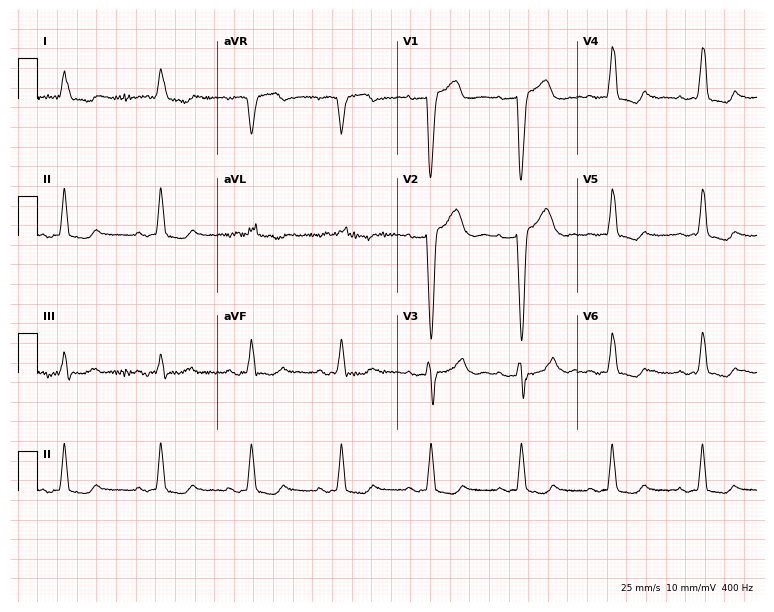
ECG — an 86-year-old female. Screened for six findings — first-degree AV block, right bundle branch block, left bundle branch block, sinus bradycardia, atrial fibrillation, sinus tachycardia — none is recorded.